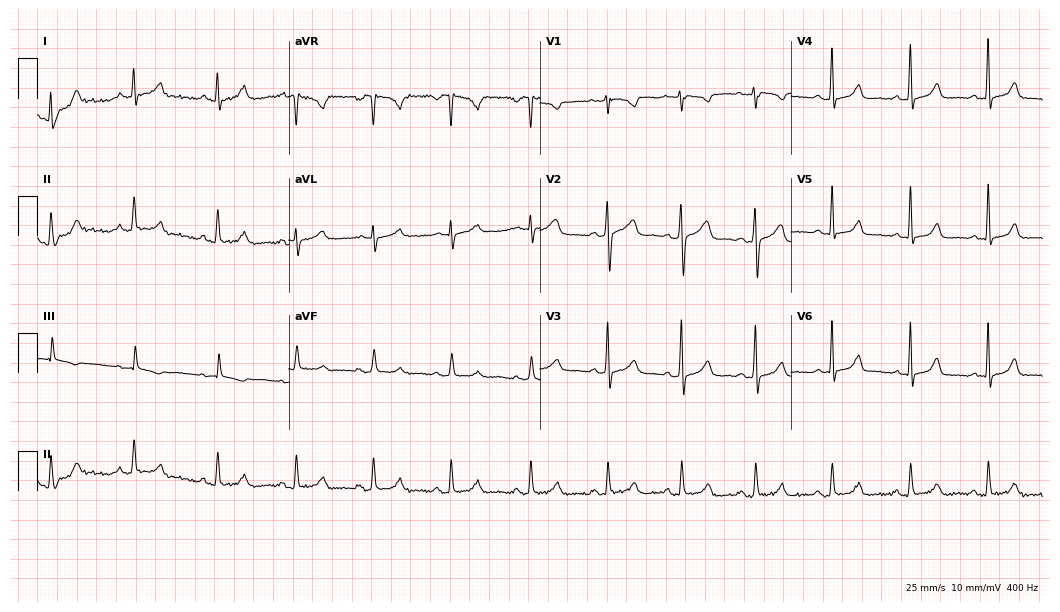
Standard 12-lead ECG recorded from a 34-year-old female (10.2-second recording at 400 Hz). Read as a normal ECG.